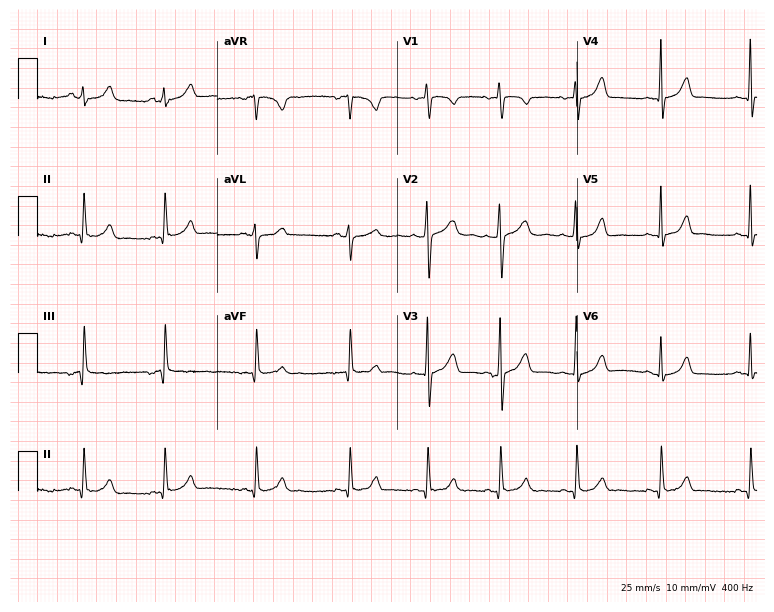
12-lead ECG (7.3-second recording at 400 Hz) from a 23-year-old woman. Labelled as a normal ECG.